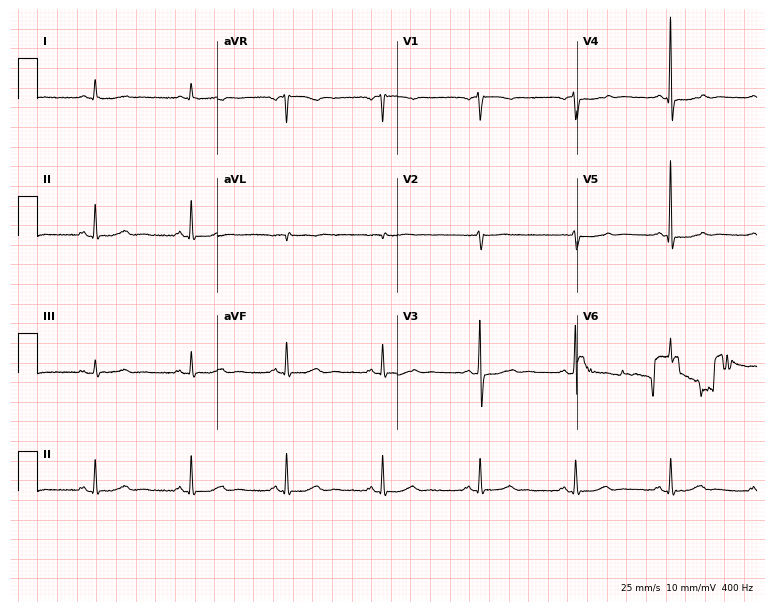
12-lead ECG from a woman, 71 years old (7.3-second recording at 400 Hz). No first-degree AV block, right bundle branch block, left bundle branch block, sinus bradycardia, atrial fibrillation or sinus tachycardia recorded for this tracing. Other findings, if any, are not listed.